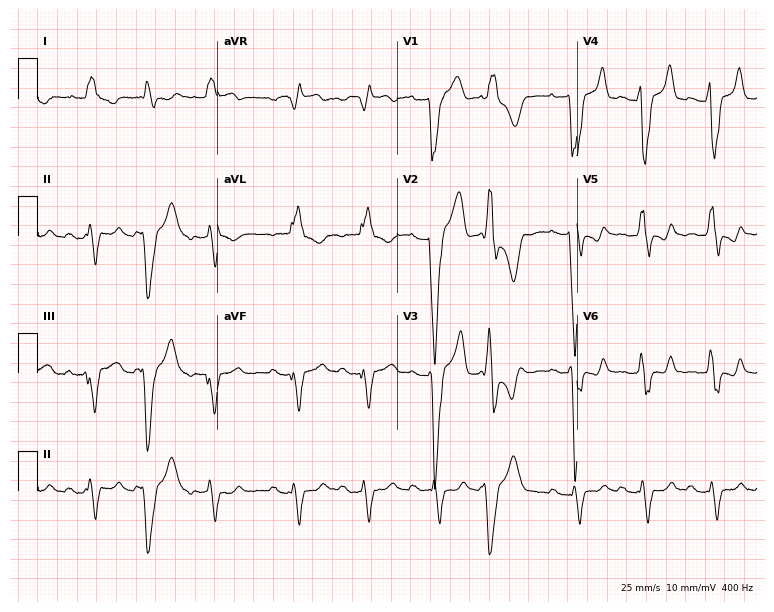
12-lead ECG from a 63-year-old man (7.3-second recording at 400 Hz). Shows first-degree AV block, left bundle branch block.